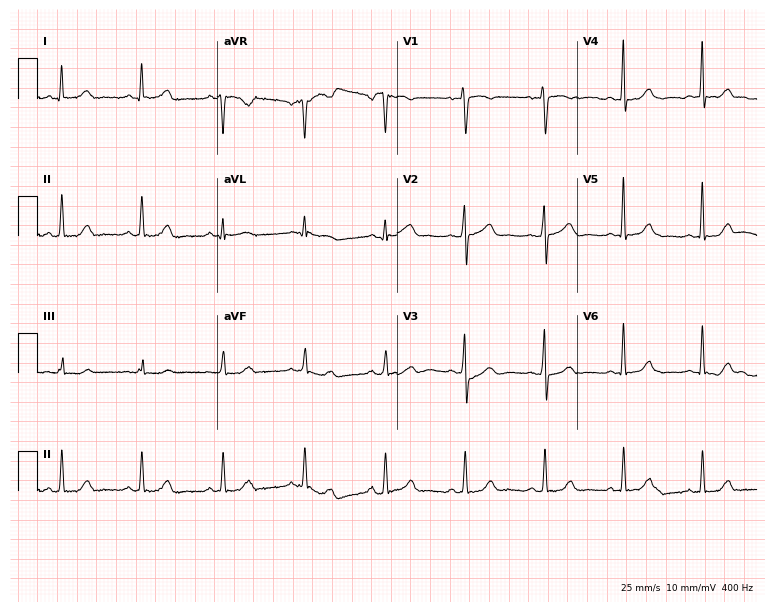
12-lead ECG from a male patient, 68 years old. Recorded interpretation: within normal limits.